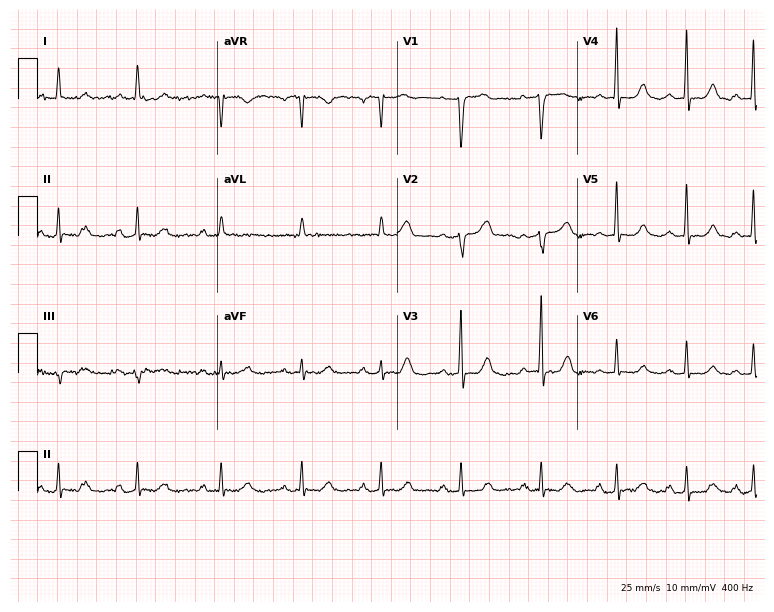
Electrocardiogram, a 75-year-old female patient. Overall reading on record: normal ECG.